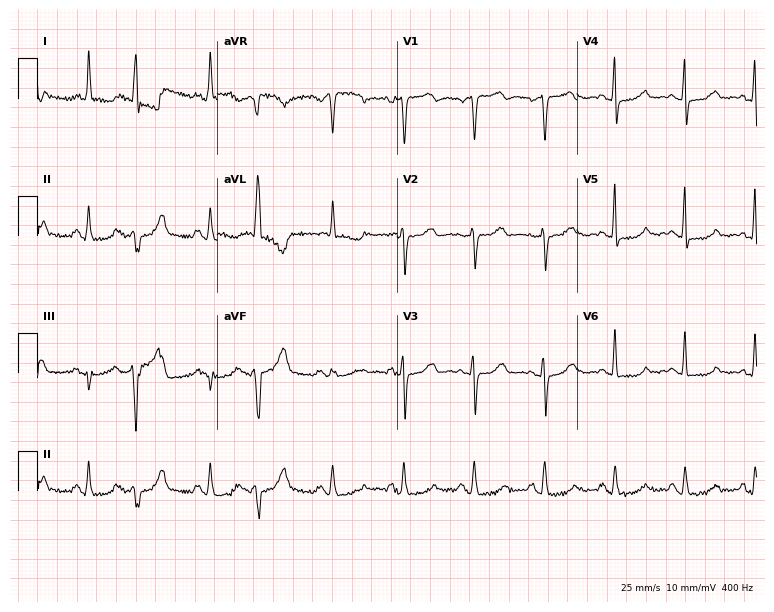
Resting 12-lead electrocardiogram. Patient: a 49-year-old female. Read as a normal ECG.